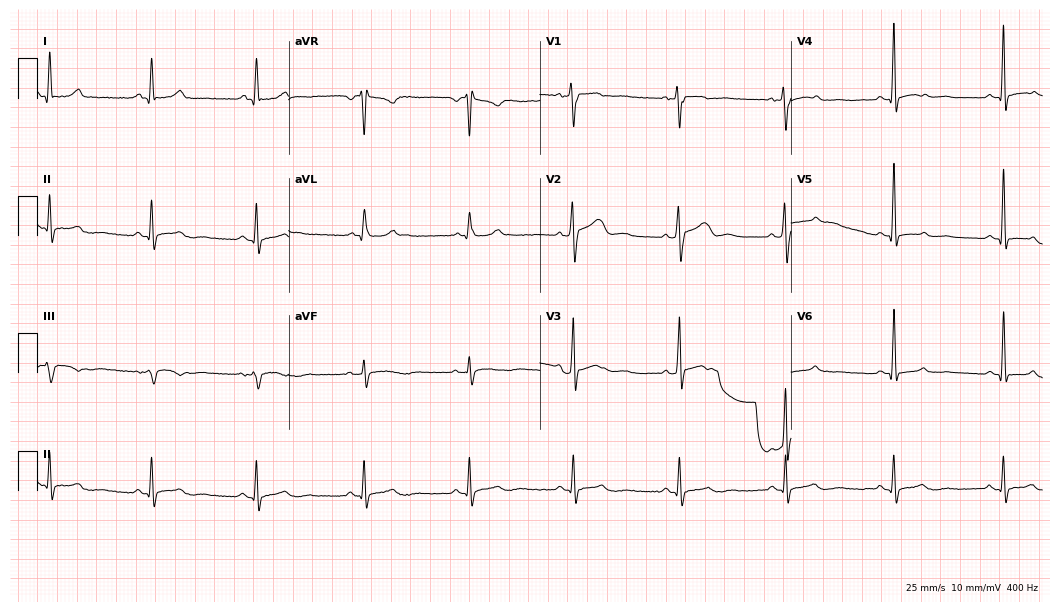
12-lead ECG from a 35-year-old male patient. Recorded interpretation: within normal limits.